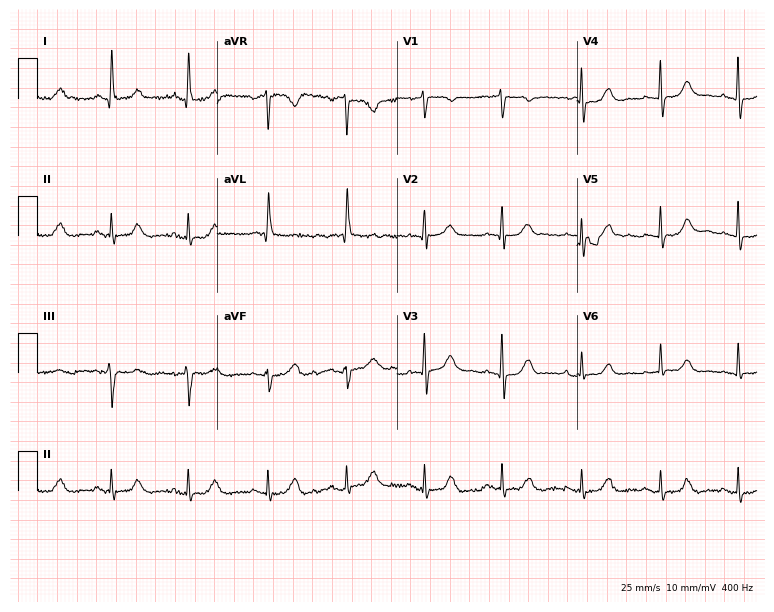
ECG (7.3-second recording at 400 Hz) — an 80-year-old female. Labelled as a normal ECG.